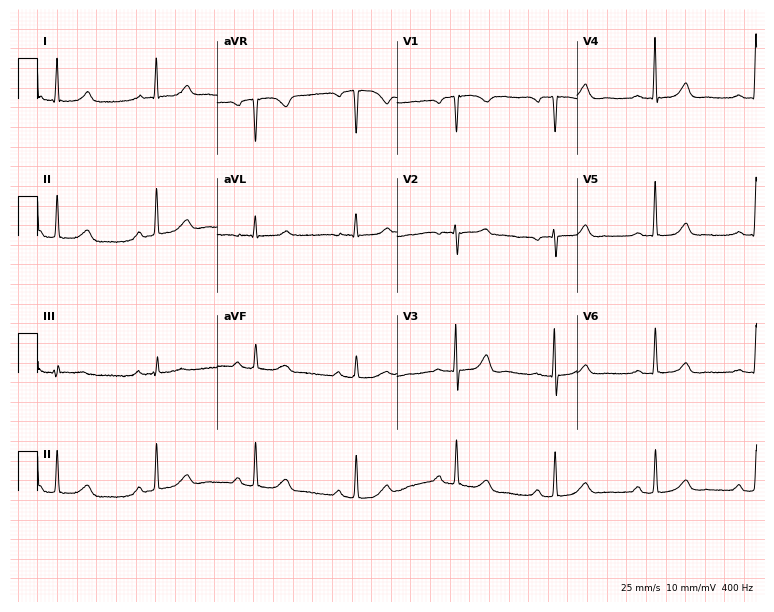
Standard 12-lead ECG recorded from a woman, 72 years old. Read as a normal ECG.